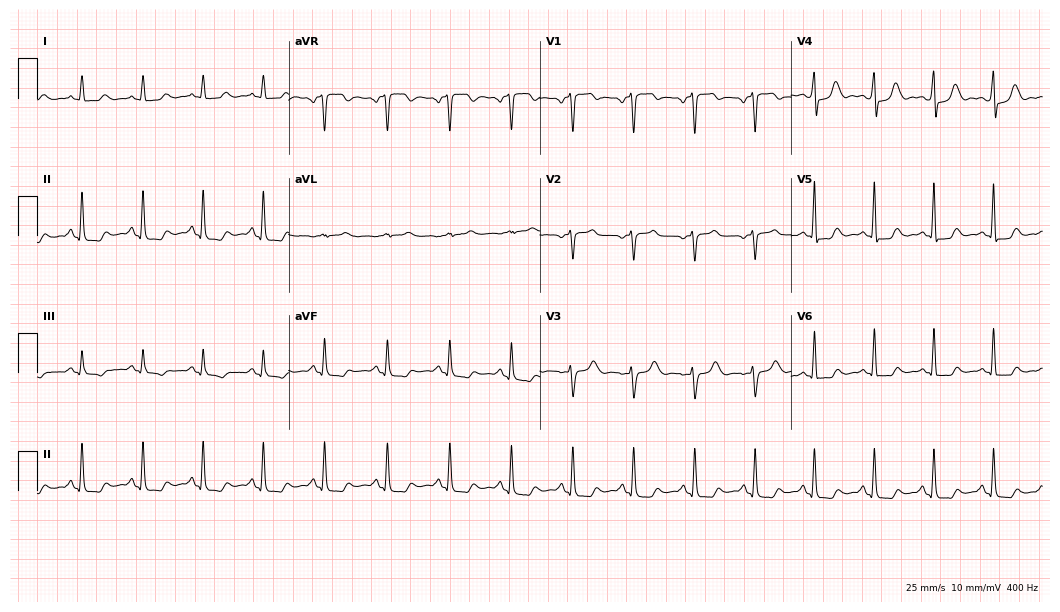
Resting 12-lead electrocardiogram. Patient: a 43-year-old female. Read as a normal ECG.